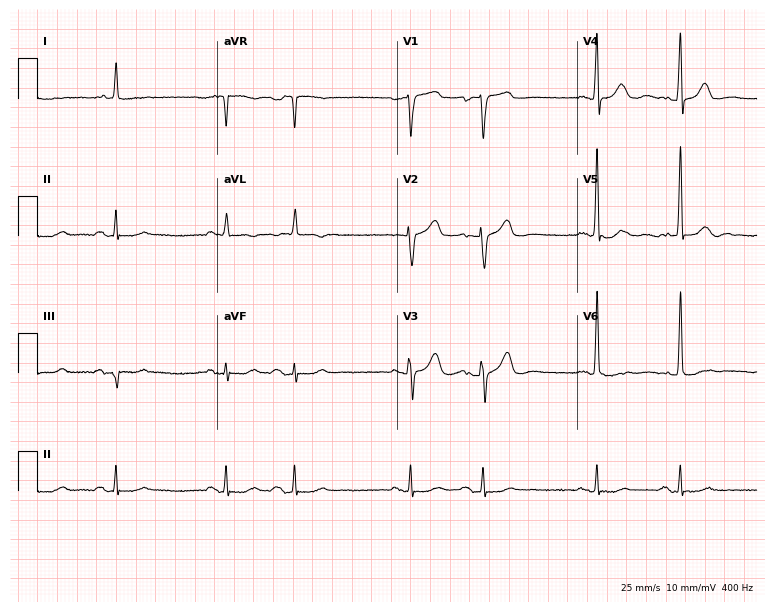
ECG — a 74-year-old man. Labelled as a normal ECG.